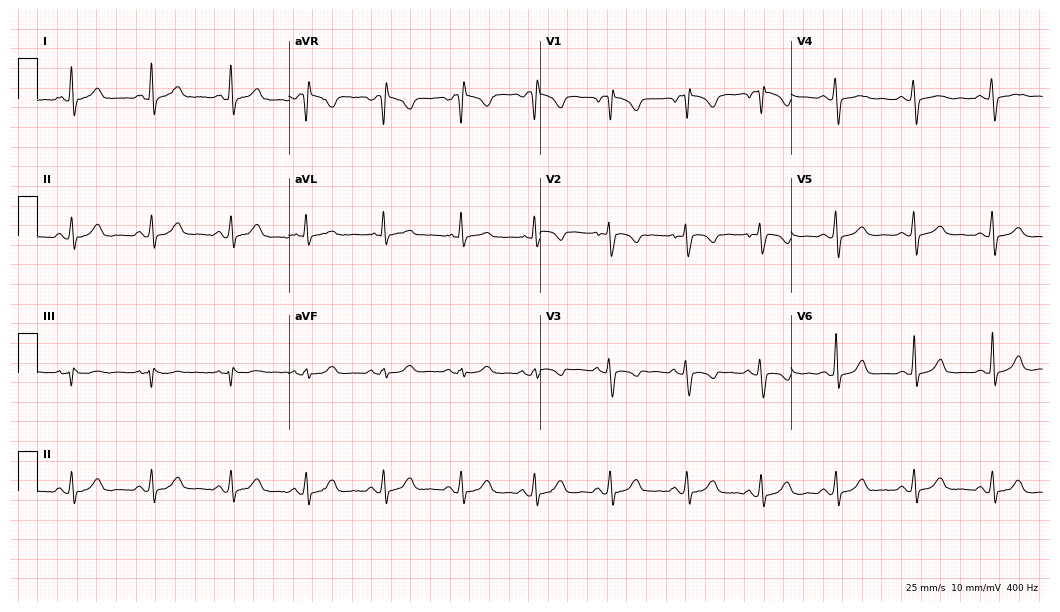
Electrocardiogram (10.2-second recording at 400 Hz), a female, 26 years old. Overall reading on record: normal ECG.